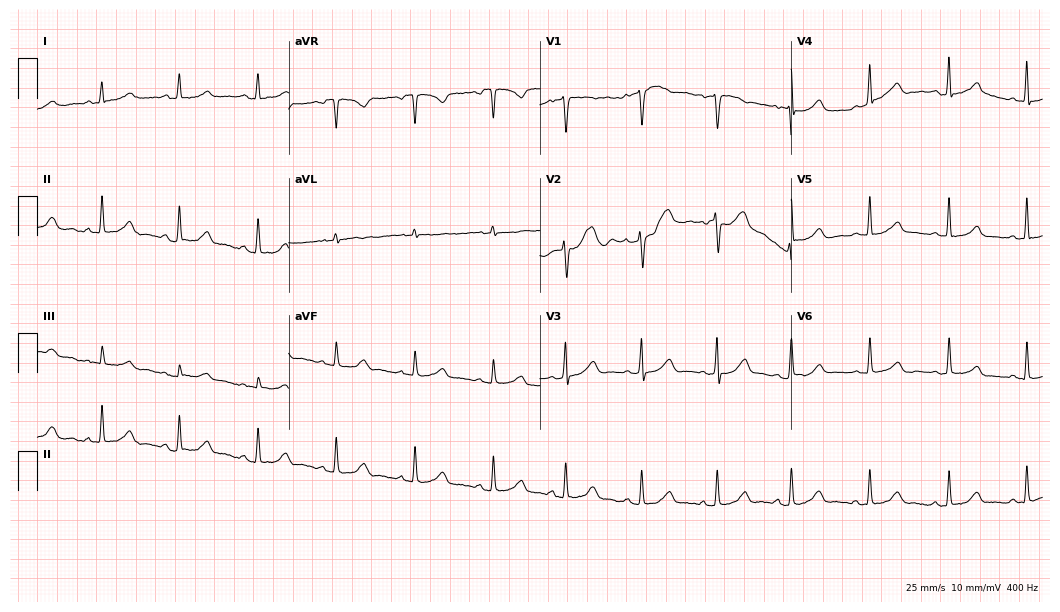
ECG (10.2-second recording at 400 Hz) — a female patient, 41 years old. Screened for six findings — first-degree AV block, right bundle branch block, left bundle branch block, sinus bradycardia, atrial fibrillation, sinus tachycardia — none is recorded.